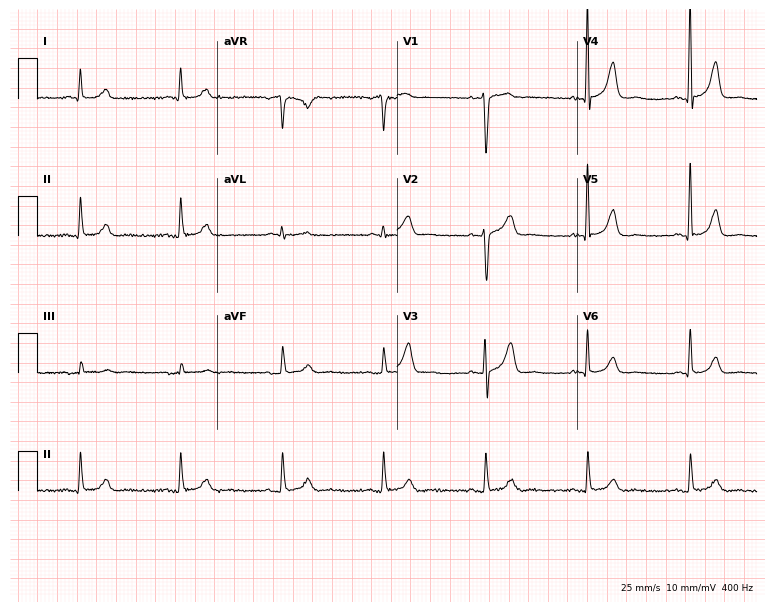
Electrocardiogram (7.3-second recording at 400 Hz), a male, 67 years old. Of the six screened findings (first-degree AV block, right bundle branch block, left bundle branch block, sinus bradycardia, atrial fibrillation, sinus tachycardia), none is recorded. Other findings, if any, are not listed.